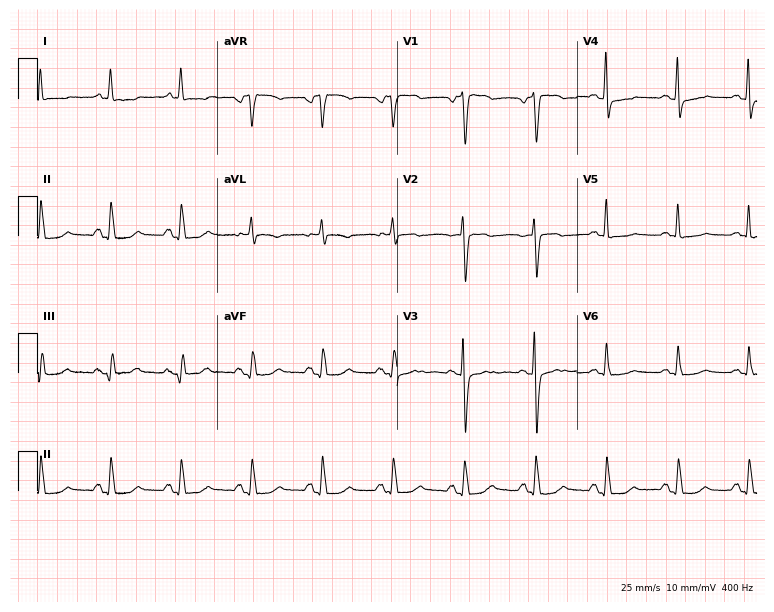
ECG (7.3-second recording at 400 Hz) — an 84-year-old female patient. Screened for six findings — first-degree AV block, right bundle branch block, left bundle branch block, sinus bradycardia, atrial fibrillation, sinus tachycardia — none is recorded. Findings outside these six are not listed.